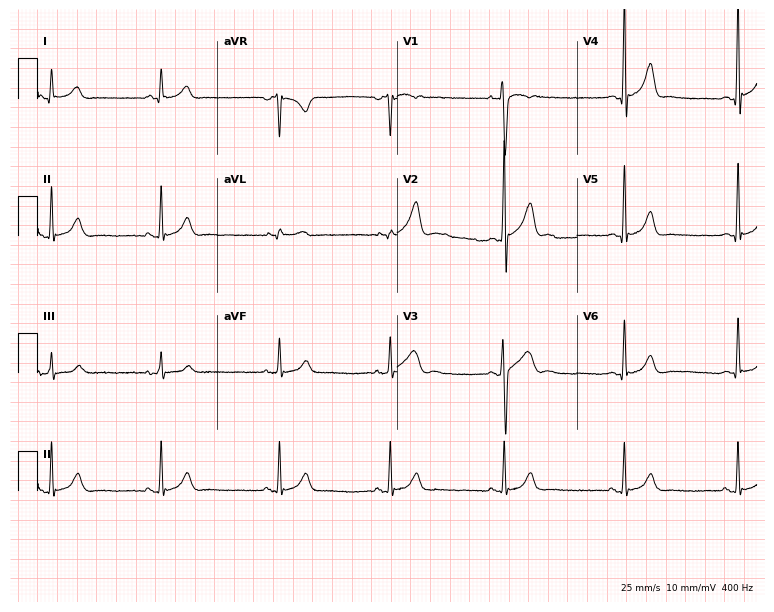
12-lead ECG from a male patient, 19 years old. Recorded interpretation: within normal limits.